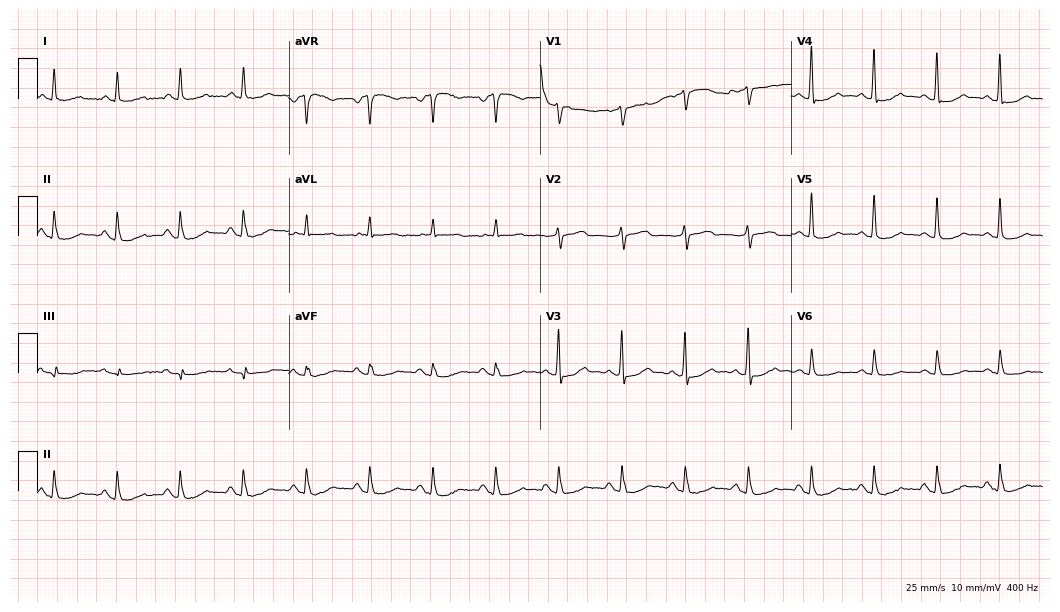
Electrocardiogram, a female patient, 70 years old. Overall reading on record: normal ECG.